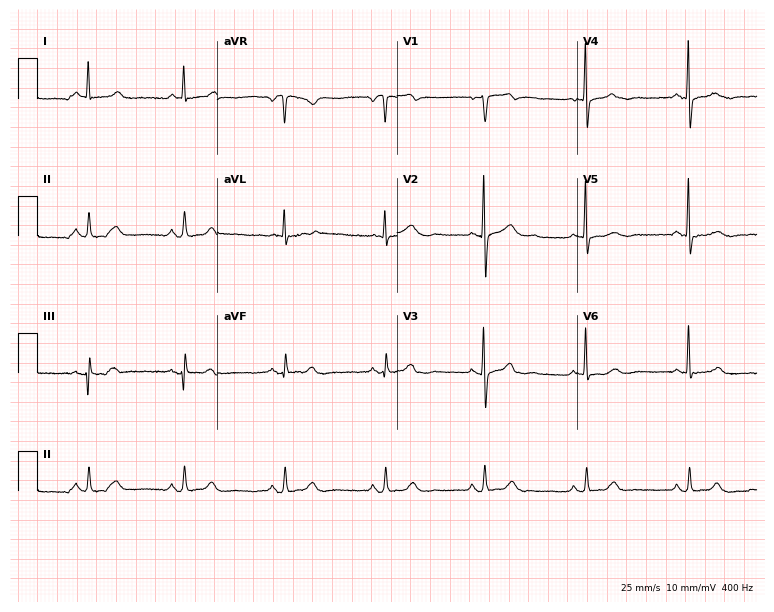
Standard 12-lead ECG recorded from a 66-year-old woman (7.3-second recording at 400 Hz). Read as a normal ECG.